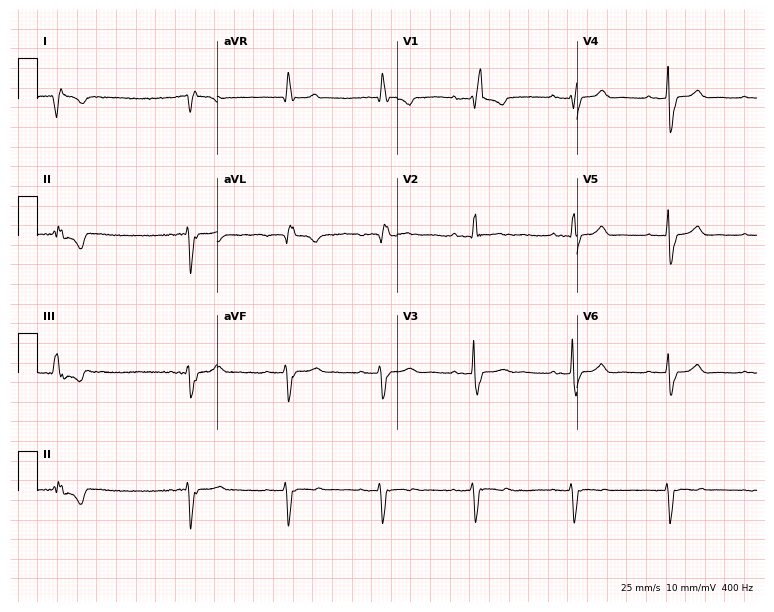
12-lead ECG from a male, 83 years old. Screened for six findings — first-degree AV block, right bundle branch block, left bundle branch block, sinus bradycardia, atrial fibrillation, sinus tachycardia — none is recorded.